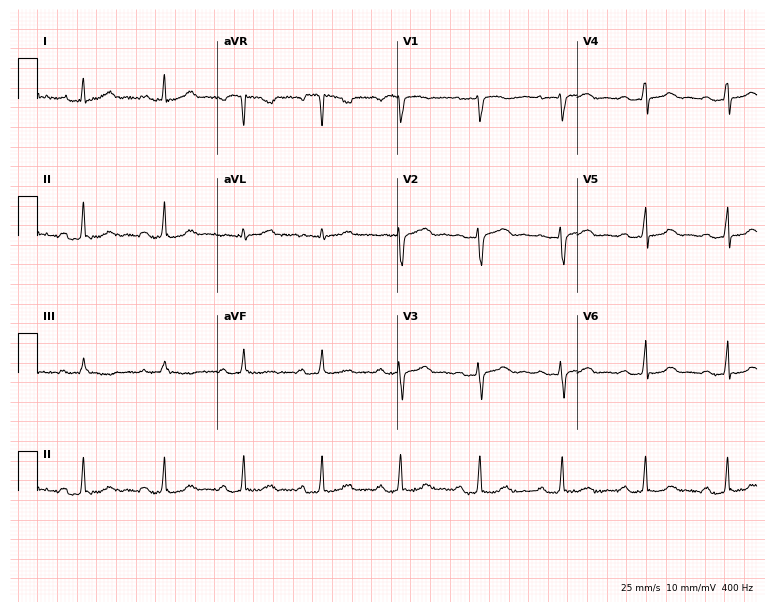
Electrocardiogram (7.3-second recording at 400 Hz), a woman, 37 years old. Interpretation includes first-degree AV block.